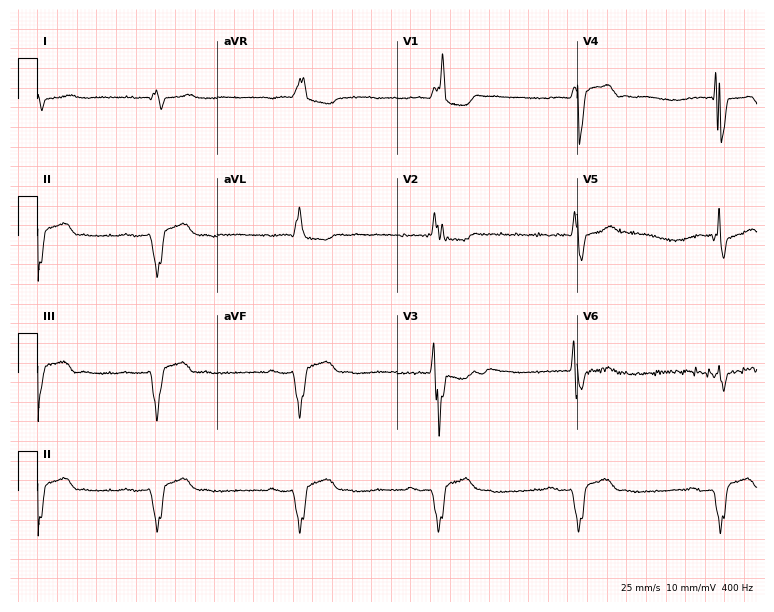
Standard 12-lead ECG recorded from a male patient, 80 years old (7.3-second recording at 400 Hz). None of these six findings is recorded: first-degree AV block, right bundle branch block, left bundle branch block, sinus bradycardia, atrial fibrillation, sinus tachycardia.